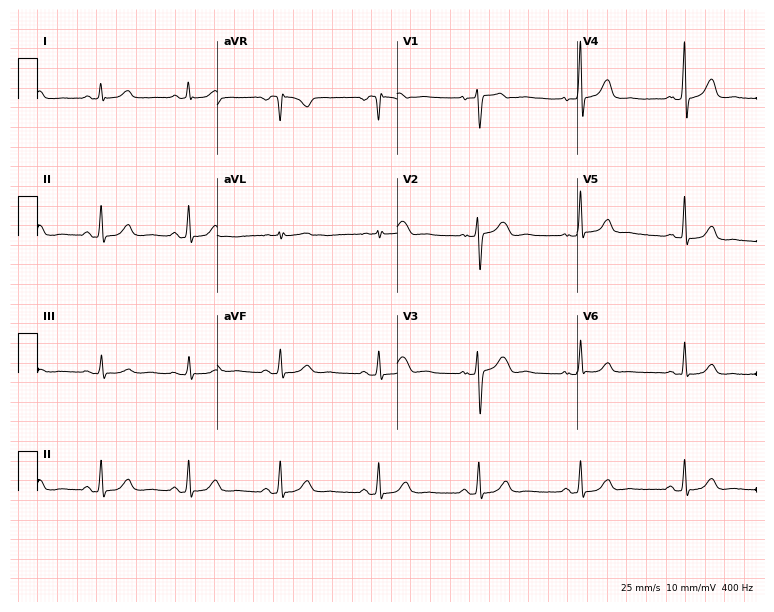
Standard 12-lead ECG recorded from a 42-year-old female patient. None of these six findings is recorded: first-degree AV block, right bundle branch block, left bundle branch block, sinus bradycardia, atrial fibrillation, sinus tachycardia.